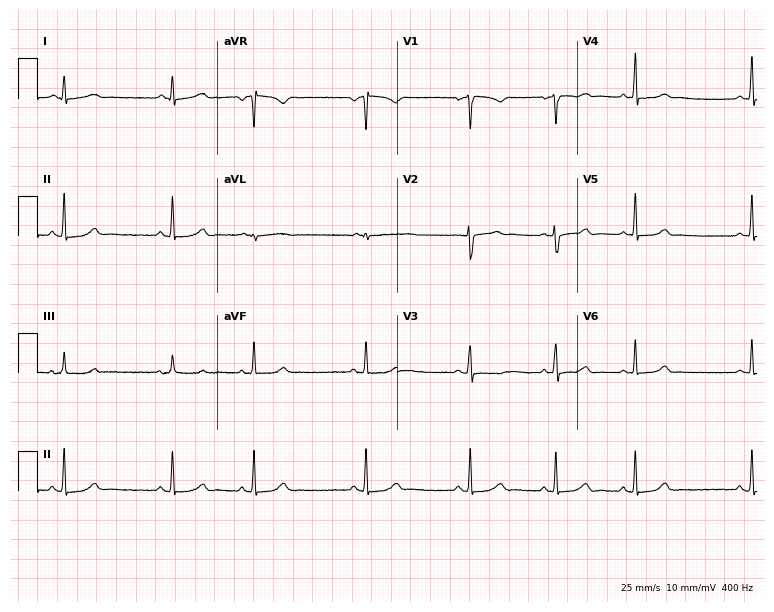
ECG — a female, 31 years old. Labelled as a normal ECG.